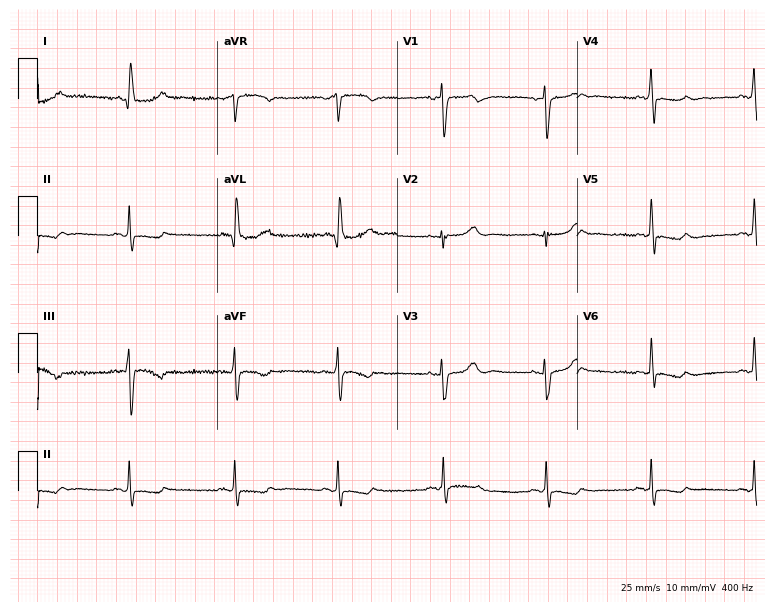
Resting 12-lead electrocardiogram (7.3-second recording at 400 Hz). Patient: a 64-year-old woman. None of these six findings is recorded: first-degree AV block, right bundle branch block, left bundle branch block, sinus bradycardia, atrial fibrillation, sinus tachycardia. Other findings, if any, are not listed.